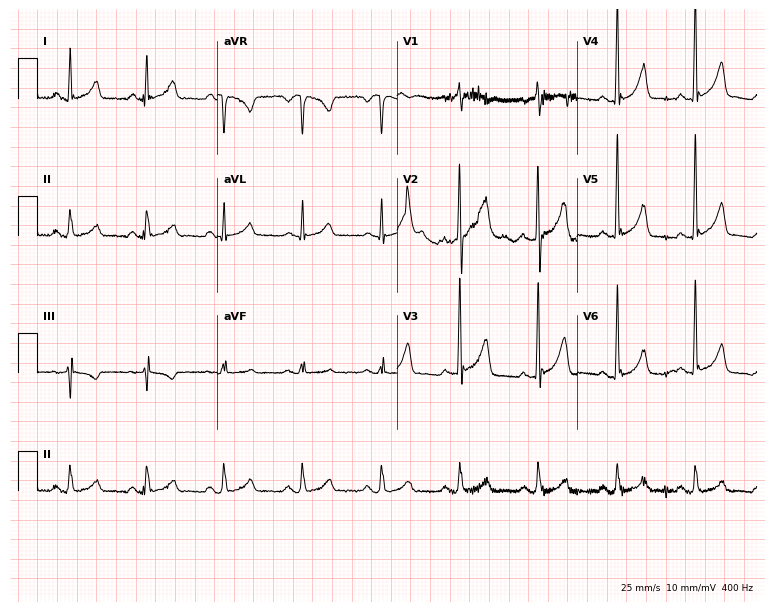
12-lead ECG from a 55-year-old man (7.3-second recording at 400 Hz). No first-degree AV block, right bundle branch block, left bundle branch block, sinus bradycardia, atrial fibrillation or sinus tachycardia recorded for this tracing.